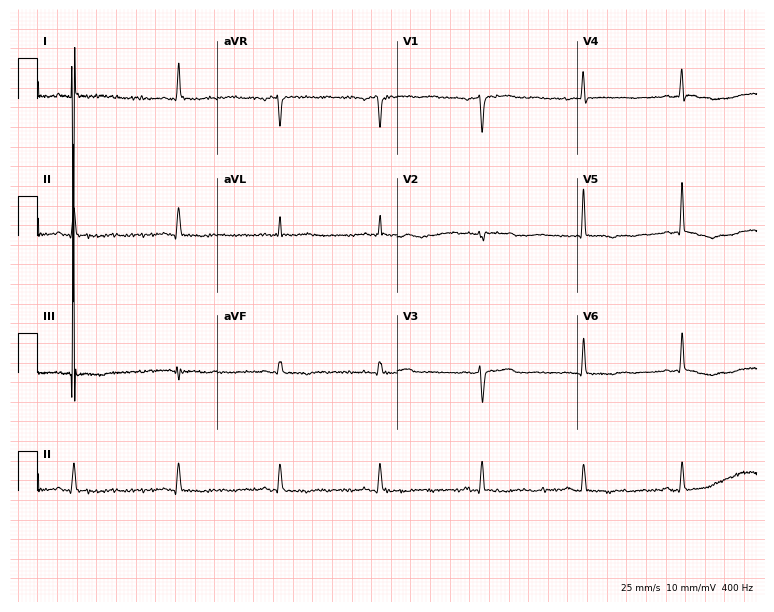
Electrocardiogram, a female, 59 years old. Of the six screened findings (first-degree AV block, right bundle branch block, left bundle branch block, sinus bradycardia, atrial fibrillation, sinus tachycardia), none is recorded.